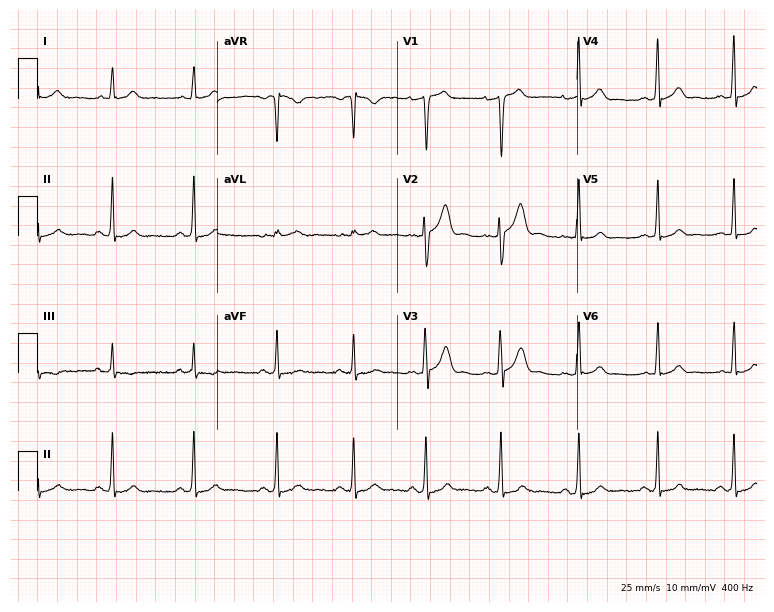
Resting 12-lead electrocardiogram (7.3-second recording at 400 Hz). Patient: a man, 28 years old. Read as a normal ECG.